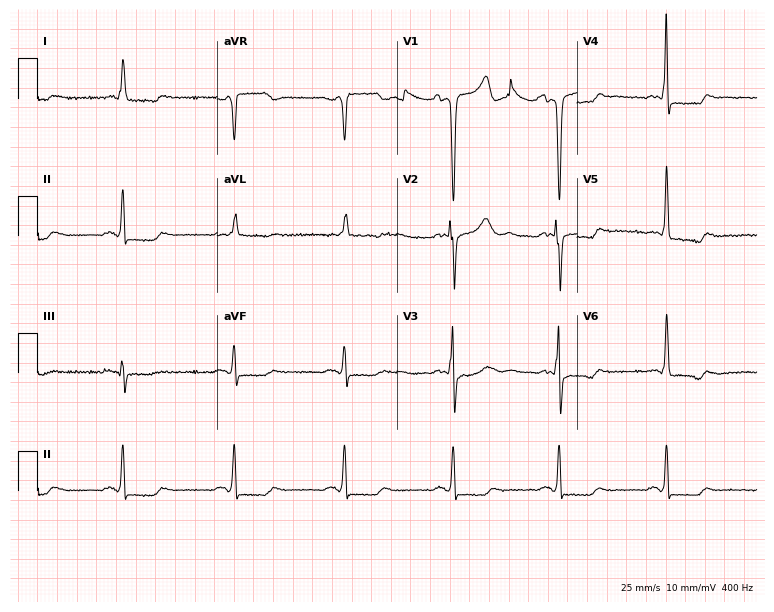
Standard 12-lead ECG recorded from a man, 66 years old. None of these six findings is recorded: first-degree AV block, right bundle branch block, left bundle branch block, sinus bradycardia, atrial fibrillation, sinus tachycardia.